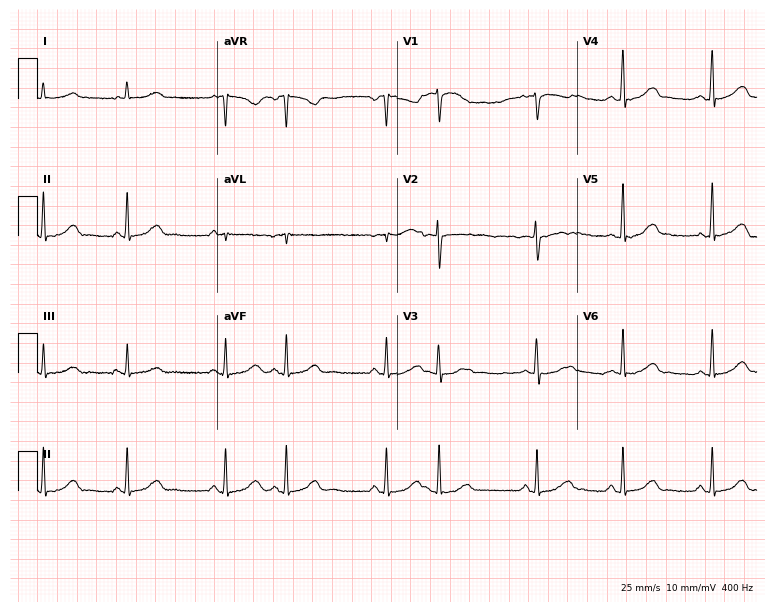
Standard 12-lead ECG recorded from a female, 47 years old. Read as a normal ECG.